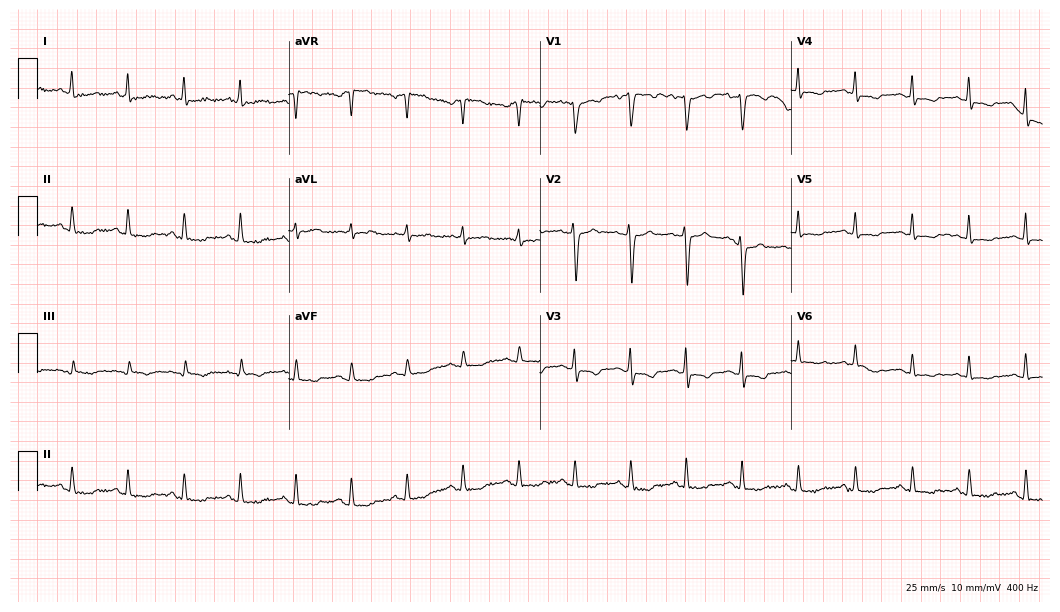
Standard 12-lead ECG recorded from a 45-year-old female. The tracing shows sinus tachycardia (a sinus rate of 100 beats per minute or more).